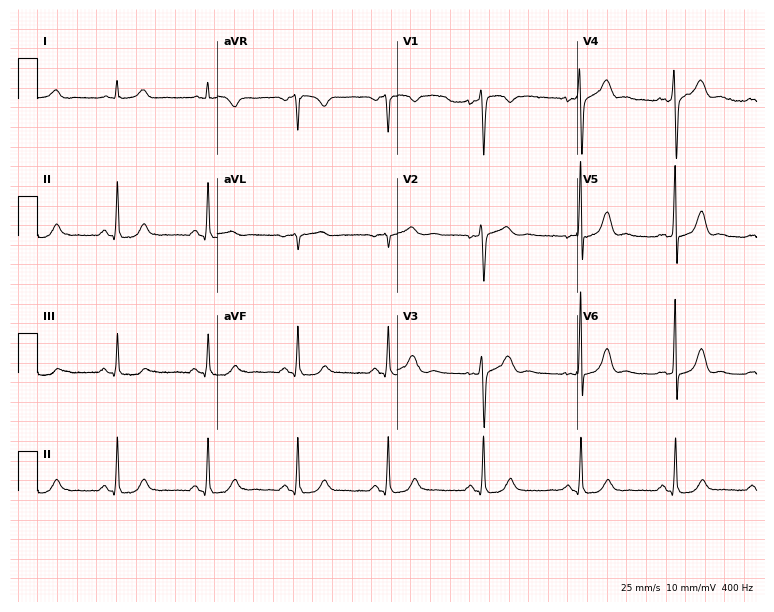
Resting 12-lead electrocardiogram (7.3-second recording at 400 Hz). Patient: a 52-year-old male. None of these six findings is recorded: first-degree AV block, right bundle branch block (RBBB), left bundle branch block (LBBB), sinus bradycardia, atrial fibrillation (AF), sinus tachycardia. Other findings, if any, are not listed.